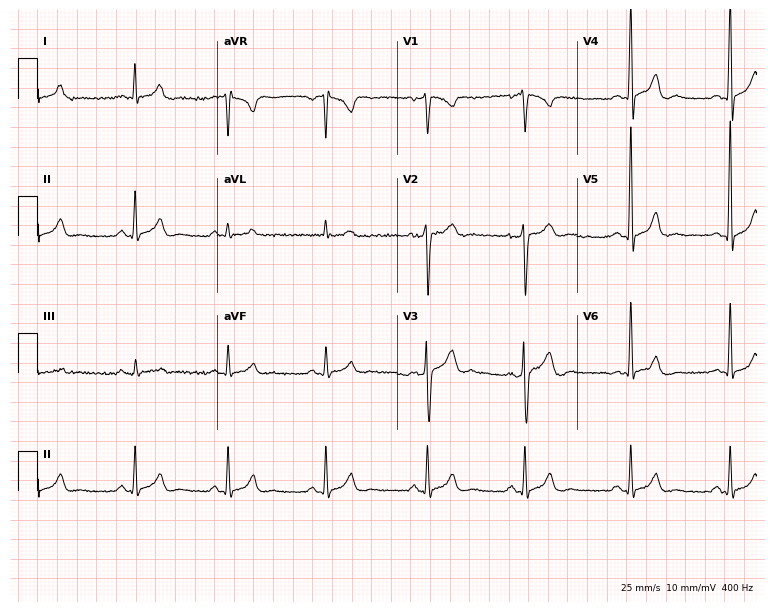
Electrocardiogram (7.3-second recording at 400 Hz), a 46-year-old male. Of the six screened findings (first-degree AV block, right bundle branch block (RBBB), left bundle branch block (LBBB), sinus bradycardia, atrial fibrillation (AF), sinus tachycardia), none is recorded.